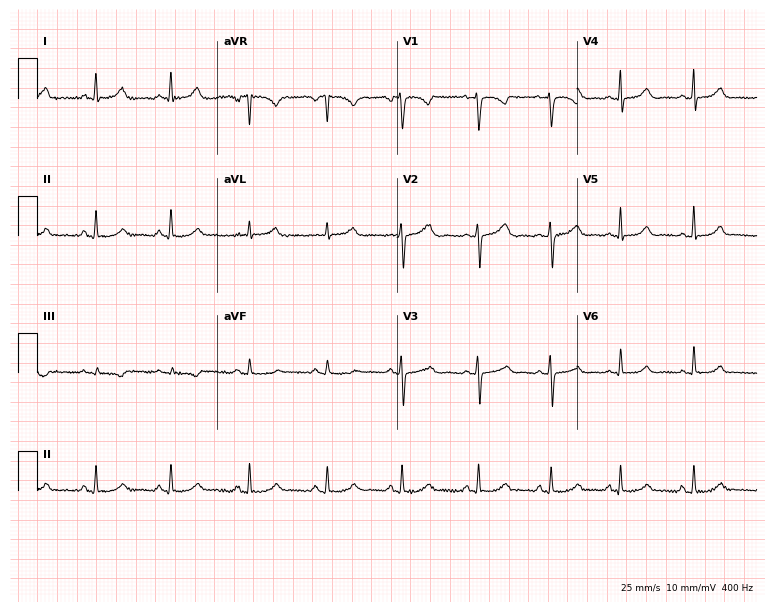
12-lead ECG (7.3-second recording at 400 Hz) from a 23-year-old female. Screened for six findings — first-degree AV block, right bundle branch block (RBBB), left bundle branch block (LBBB), sinus bradycardia, atrial fibrillation (AF), sinus tachycardia — none is recorded.